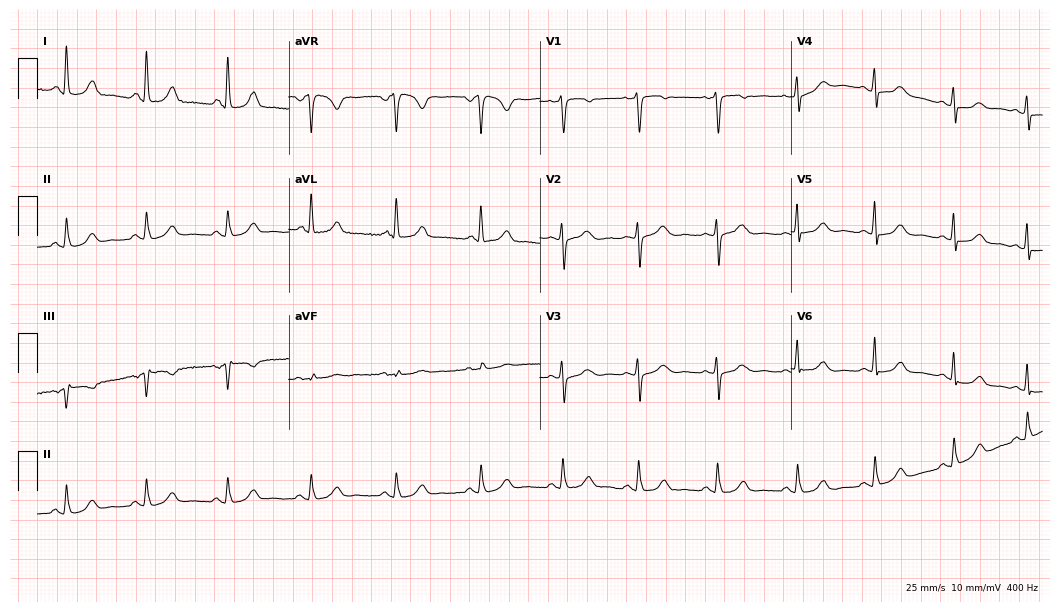
Electrocardiogram (10.2-second recording at 400 Hz), a 53-year-old female patient. Overall reading on record: normal ECG.